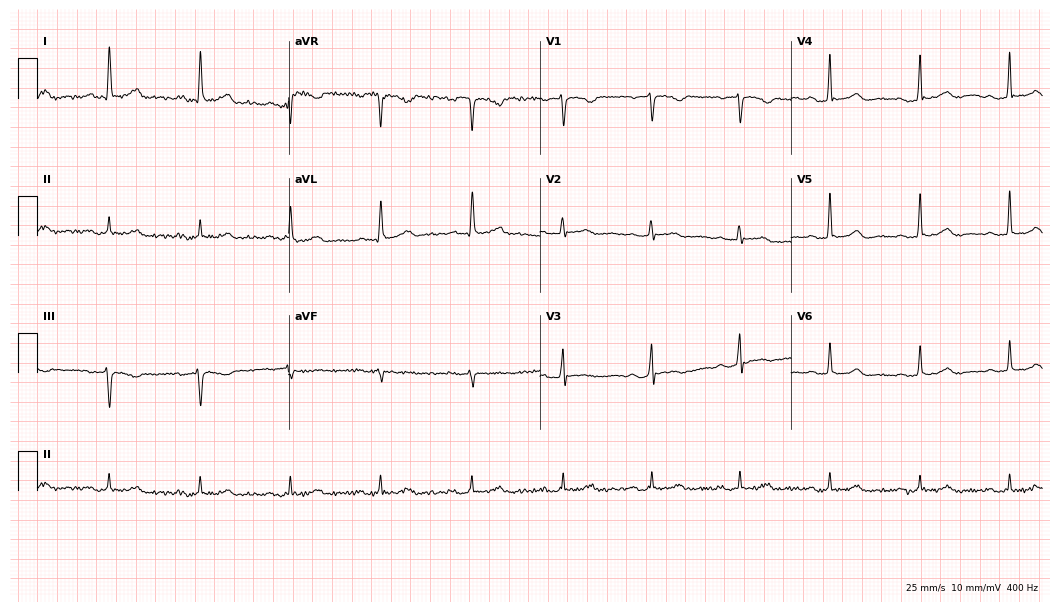
Electrocardiogram, a 61-year-old woman. Overall reading on record: normal ECG.